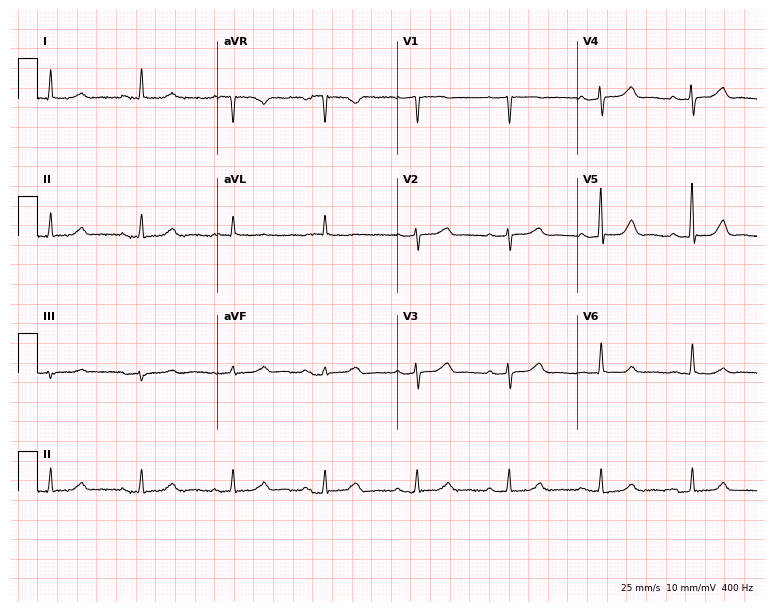
12-lead ECG from a female, 79 years old (7.3-second recording at 400 Hz). Recorded interpretation: within normal limits.